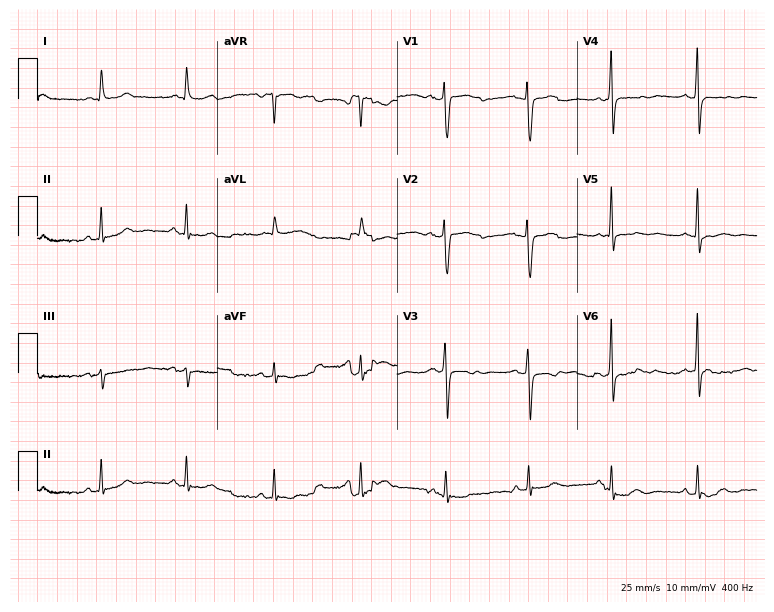
Electrocardiogram (7.3-second recording at 400 Hz), a female, 67 years old. Of the six screened findings (first-degree AV block, right bundle branch block, left bundle branch block, sinus bradycardia, atrial fibrillation, sinus tachycardia), none is recorded. Other findings, if any, are not listed.